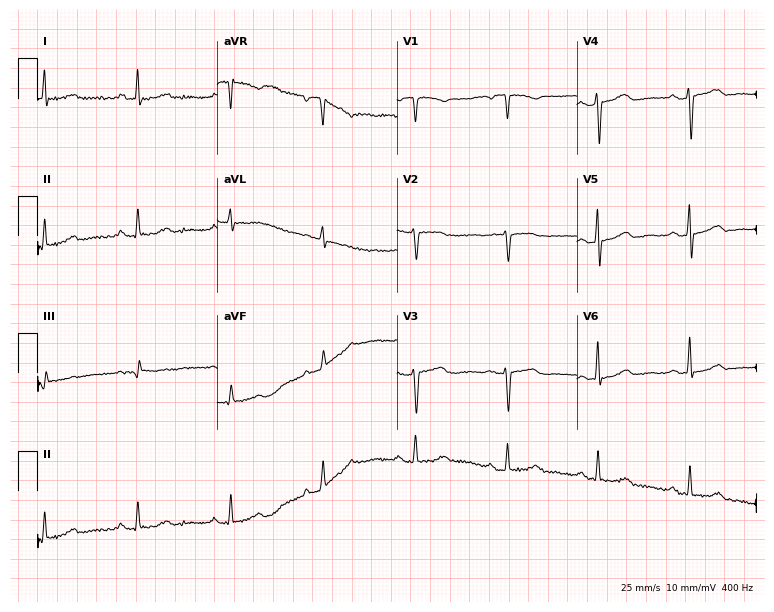
Resting 12-lead electrocardiogram (7.3-second recording at 400 Hz). Patient: a female, 69 years old. None of these six findings is recorded: first-degree AV block, right bundle branch block, left bundle branch block, sinus bradycardia, atrial fibrillation, sinus tachycardia.